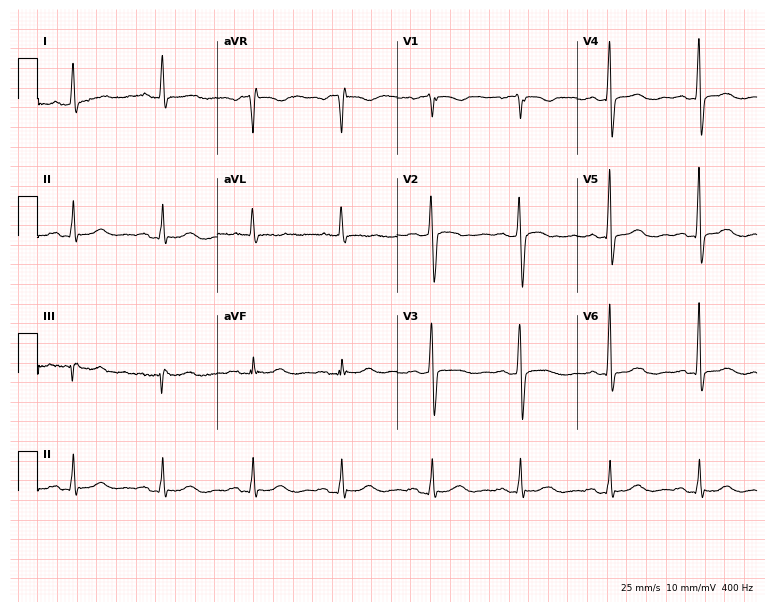
Electrocardiogram, a 51-year-old female. Of the six screened findings (first-degree AV block, right bundle branch block, left bundle branch block, sinus bradycardia, atrial fibrillation, sinus tachycardia), none is recorded. Findings outside these six are not listed.